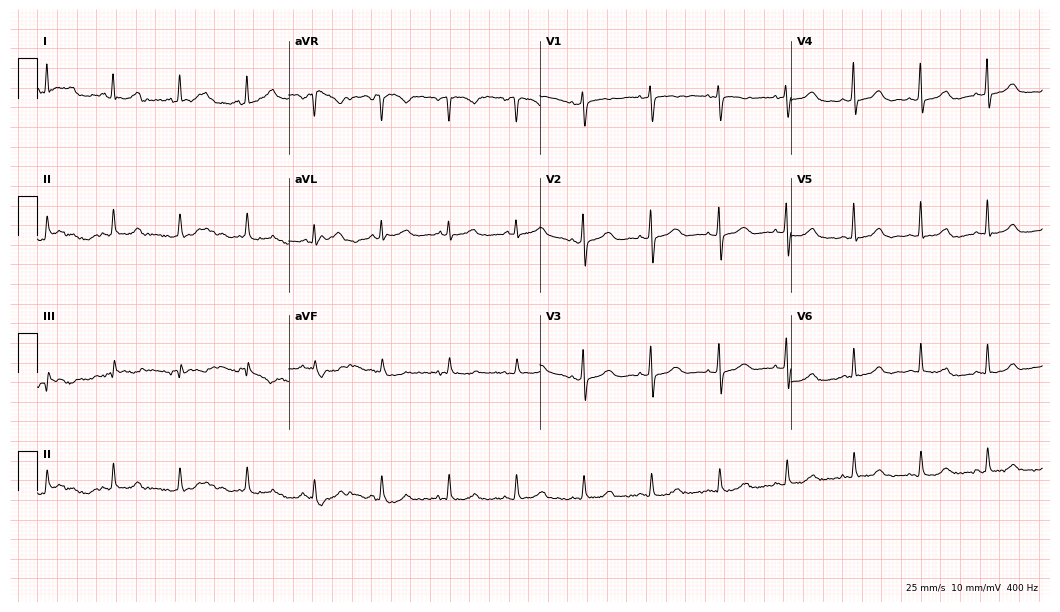
12-lead ECG from a female, 74 years old. Screened for six findings — first-degree AV block, right bundle branch block, left bundle branch block, sinus bradycardia, atrial fibrillation, sinus tachycardia — none is recorded. Only these six findings were labelled.